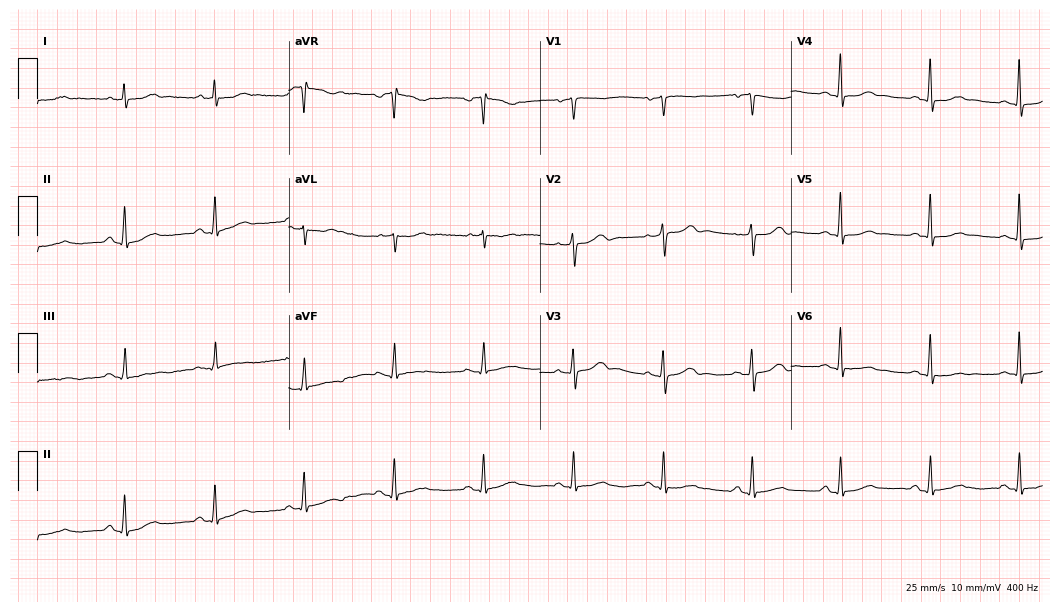
12-lead ECG (10.2-second recording at 400 Hz) from a female patient, 61 years old. Labelled as a normal ECG.